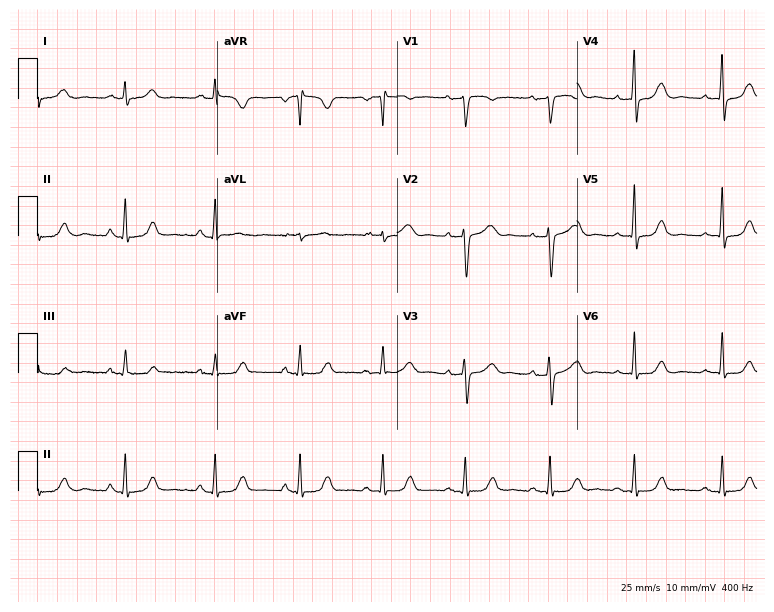
Electrocardiogram, a woman, 54 years old. Of the six screened findings (first-degree AV block, right bundle branch block, left bundle branch block, sinus bradycardia, atrial fibrillation, sinus tachycardia), none is recorded. Findings outside these six are not listed.